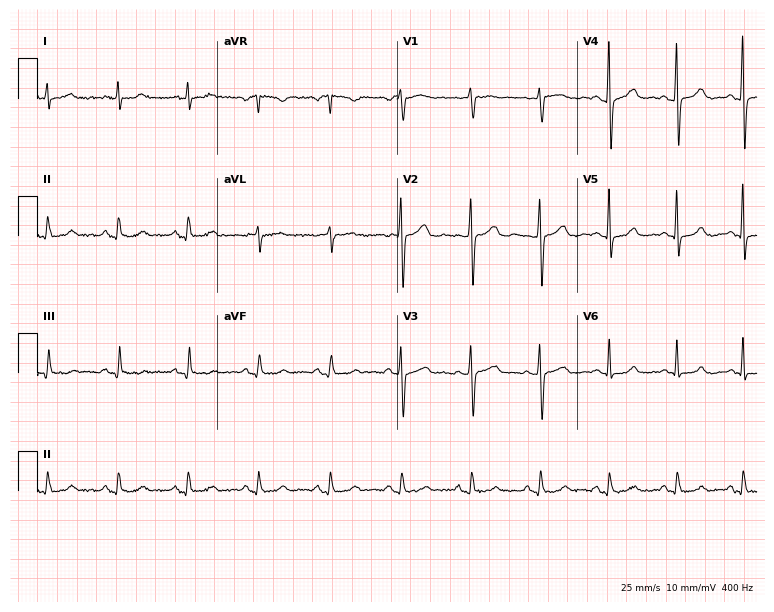
Electrocardiogram, a 48-year-old female. Overall reading on record: normal ECG.